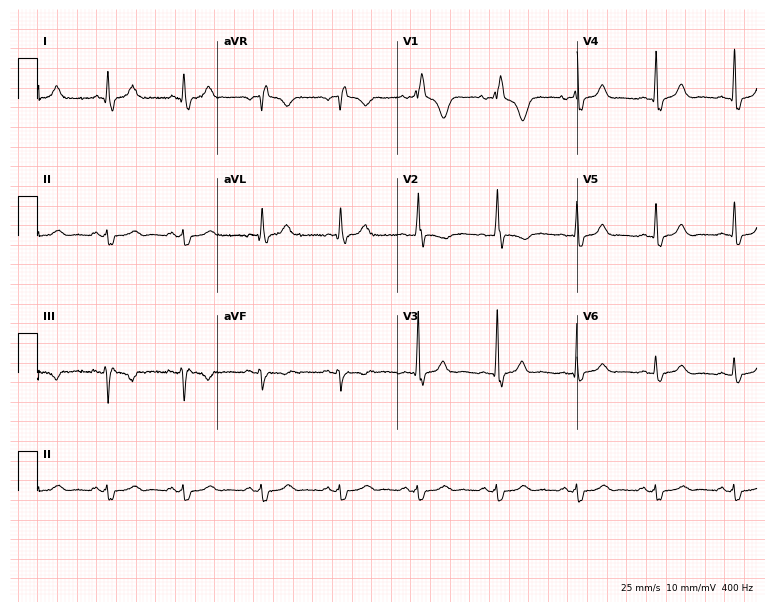
ECG (7.3-second recording at 400 Hz) — a woman, 39 years old. Screened for six findings — first-degree AV block, right bundle branch block, left bundle branch block, sinus bradycardia, atrial fibrillation, sinus tachycardia — none is recorded.